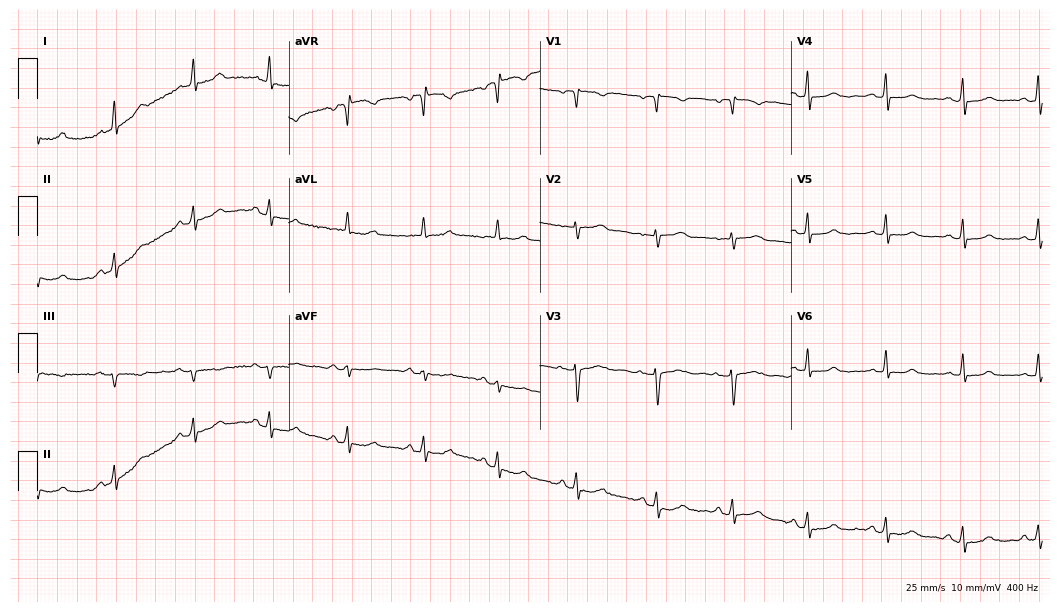
Standard 12-lead ECG recorded from a woman, 42 years old (10.2-second recording at 400 Hz). Read as a normal ECG.